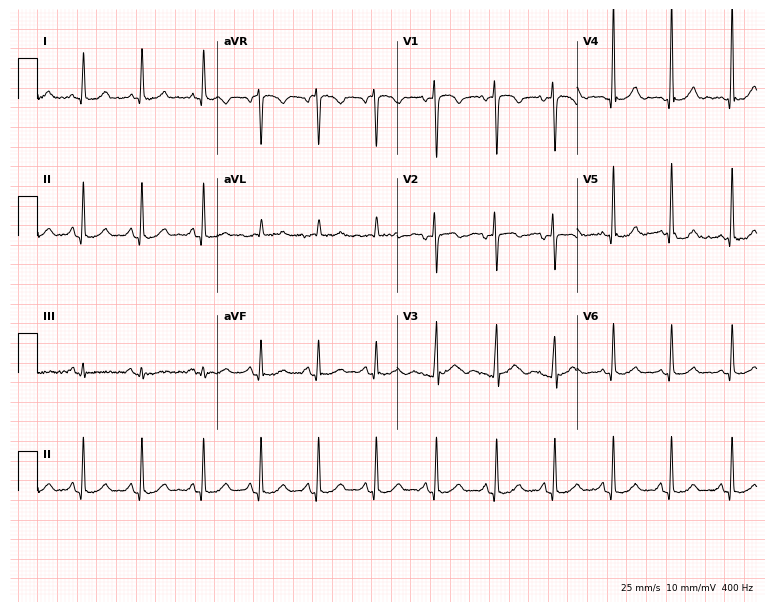
Electrocardiogram (7.3-second recording at 400 Hz), a woman, 23 years old. Of the six screened findings (first-degree AV block, right bundle branch block, left bundle branch block, sinus bradycardia, atrial fibrillation, sinus tachycardia), none is recorded.